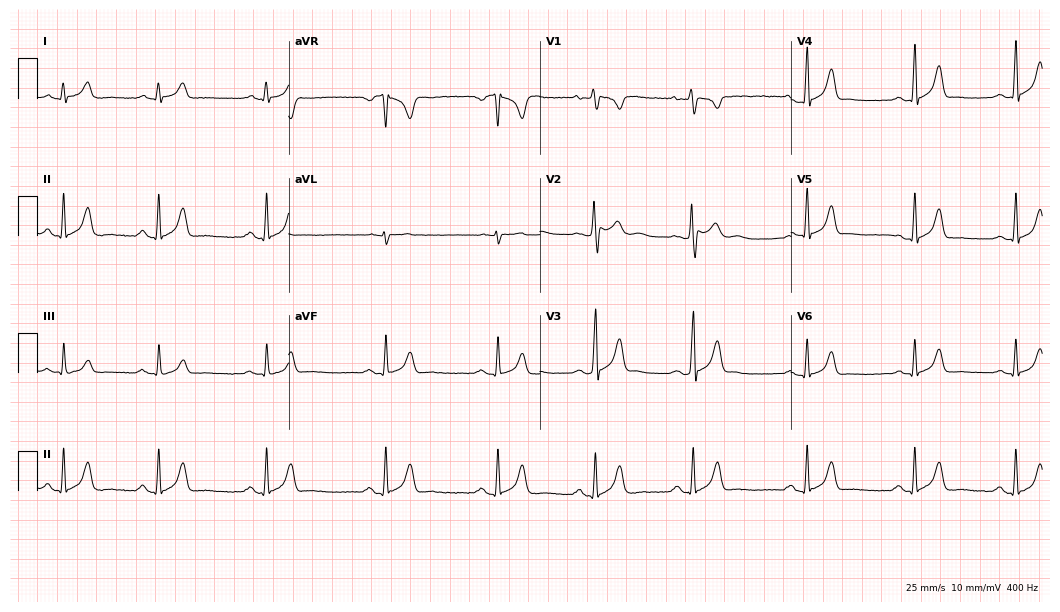
ECG — a female, 24 years old. Screened for six findings — first-degree AV block, right bundle branch block, left bundle branch block, sinus bradycardia, atrial fibrillation, sinus tachycardia — none is recorded. Findings outside these six are not listed.